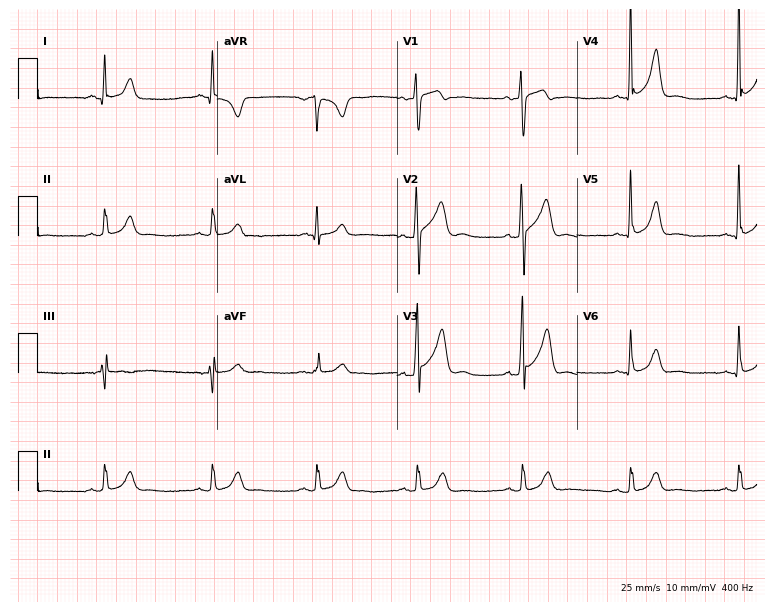
12-lead ECG (7.3-second recording at 400 Hz) from a male, 40 years old. Labelled as a normal ECG.